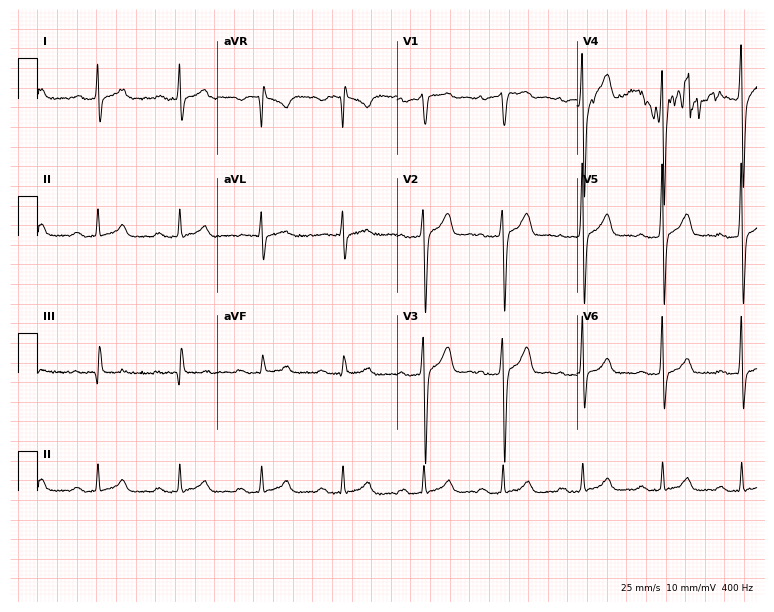
12-lead ECG from a male, 44 years old (7.3-second recording at 400 Hz). Recorded interpretation: within normal limits.